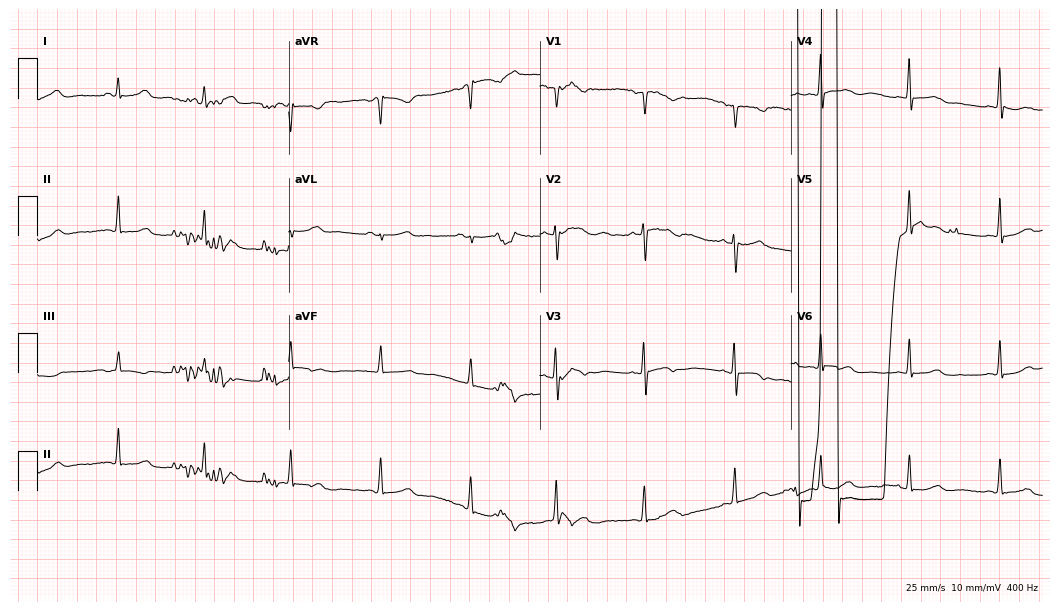
12-lead ECG from a 50-year-old female patient. No first-degree AV block, right bundle branch block, left bundle branch block, sinus bradycardia, atrial fibrillation or sinus tachycardia recorded for this tracing.